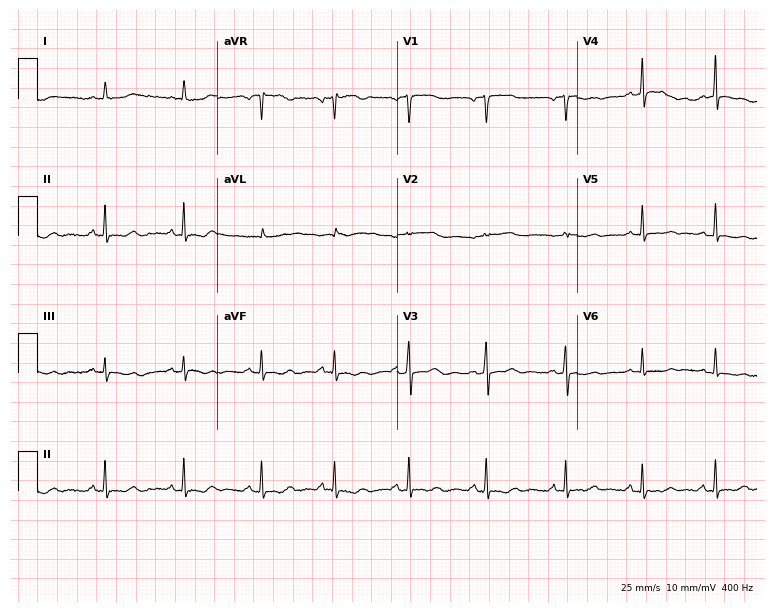
12-lead ECG from a female patient, 43 years old. No first-degree AV block, right bundle branch block, left bundle branch block, sinus bradycardia, atrial fibrillation or sinus tachycardia recorded for this tracing. Only these six findings were labelled.